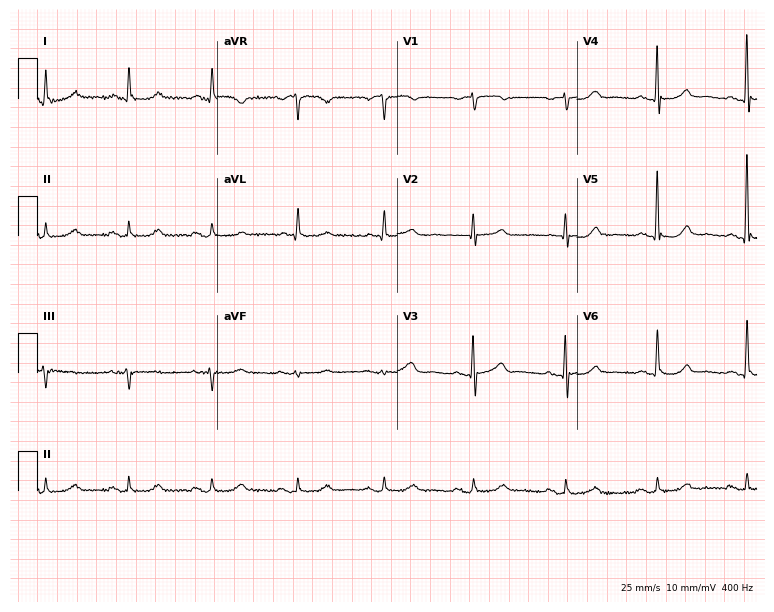
Resting 12-lead electrocardiogram. Patient: a female, 73 years old. None of these six findings is recorded: first-degree AV block, right bundle branch block (RBBB), left bundle branch block (LBBB), sinus bradycardia, atrial fibrillation (AF), sinus tachycardia.